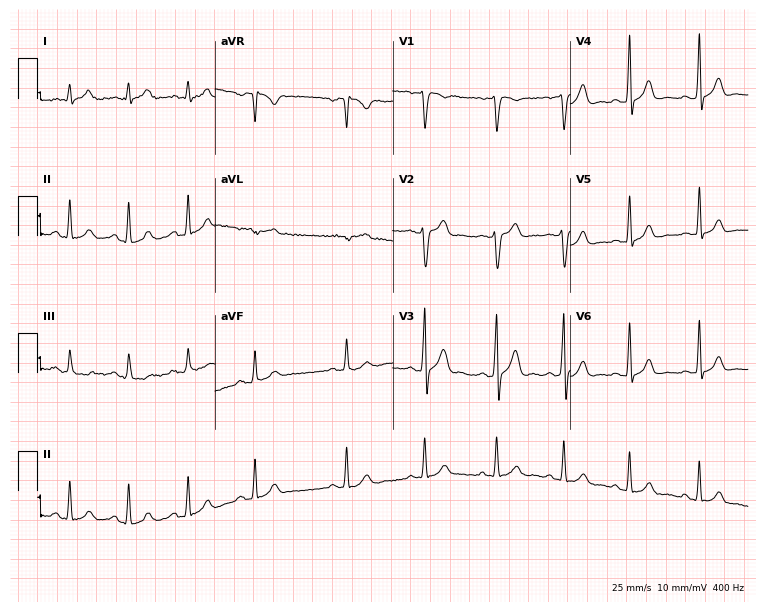
Resting 12-lead electrocardiogram (7.2-second recording at 400 Hz). Patient: a 19-year-old male. Read as a normal ECG.